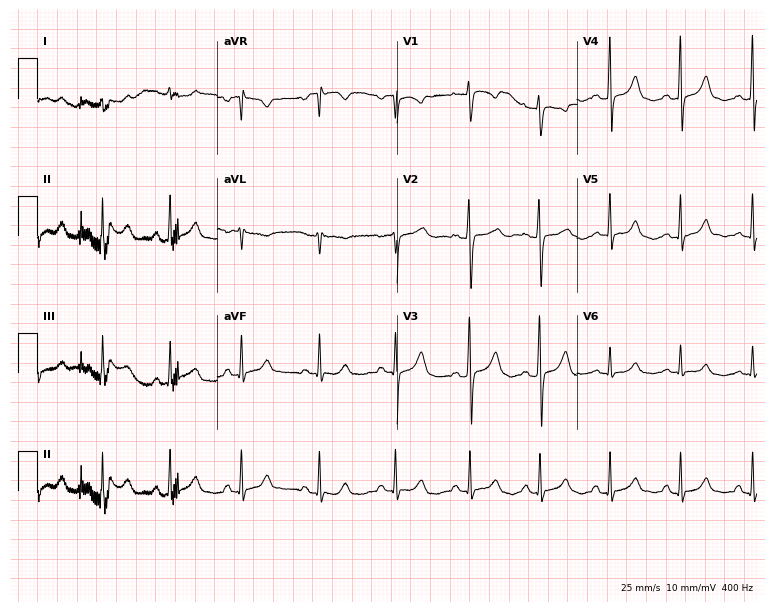
Electrocardiogram, a female patient, 31 years old. Overall reading on record: normal ECG.